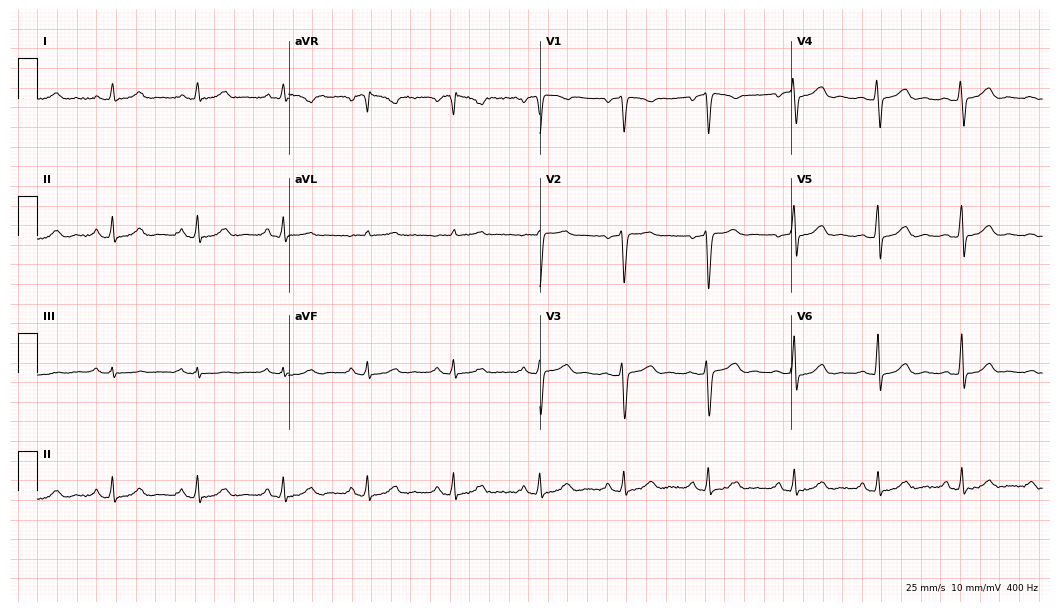
Resting 12-lead electrocardiogram (10.2-second recording at 400 Hz). Patient: a female, 44 years old. Read as a normal ECG.